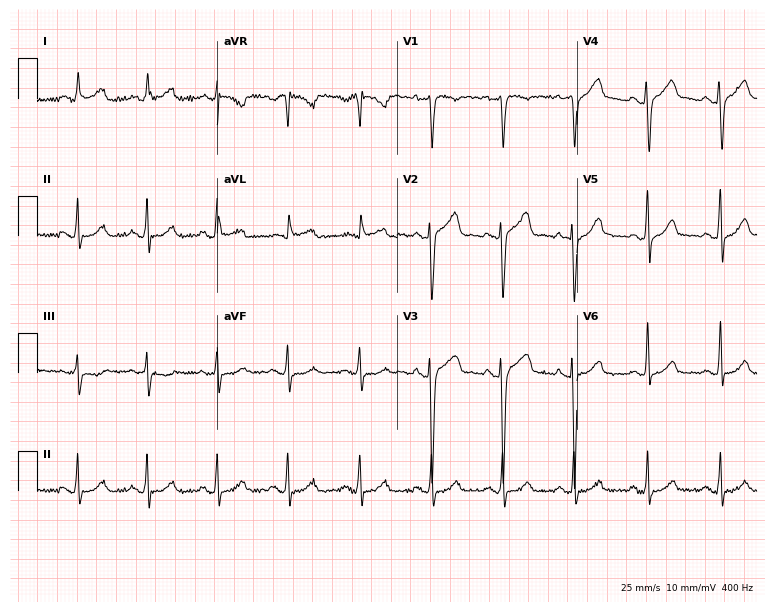
12-lead ECG from a 36-year-old male (7.3-second recording at 400 Hz). Recorded interpretation: within normal limits.